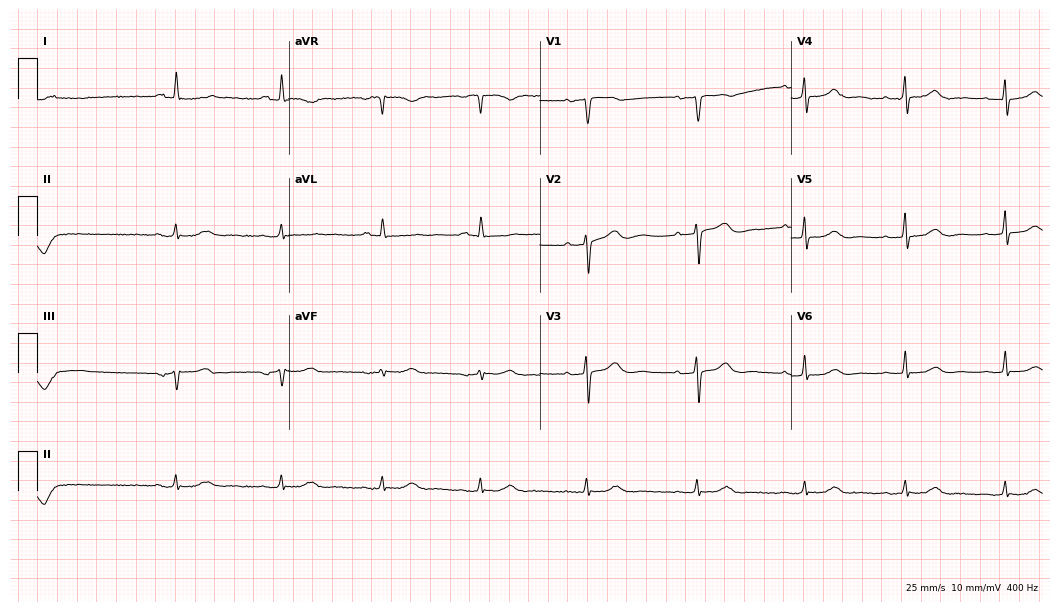
Standard 12-lead ECG recorded from a 65-year-old female (10.2-second recording at 400 Hz). None of these six findings is recorded: first-degree AV block, right bundle branch block, left bundle branch block, sinus bradycardia, atrial fibrillation, sinus tachycardia. Findings outside these six are not listed.